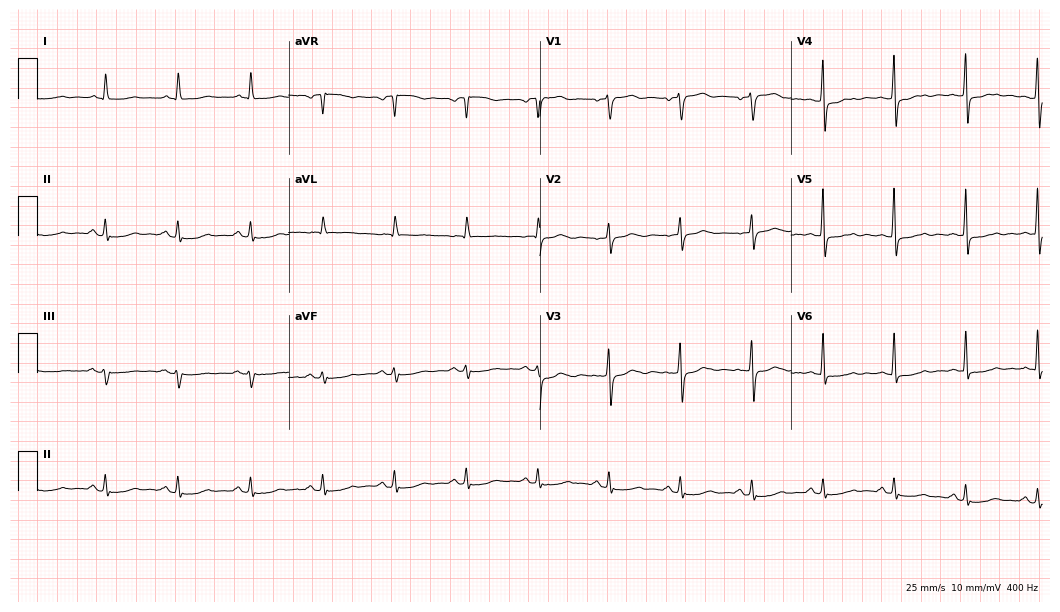
12-lead ECG from a female, 60 years old. No first-degree AV block, right bundle branch block (RBBB), left bundle branch block (LBBB), sinus bradycardia, atrial fibrillation (AF) or sinus tachycardia recorded for this tracing. Only these six findings were labelled.